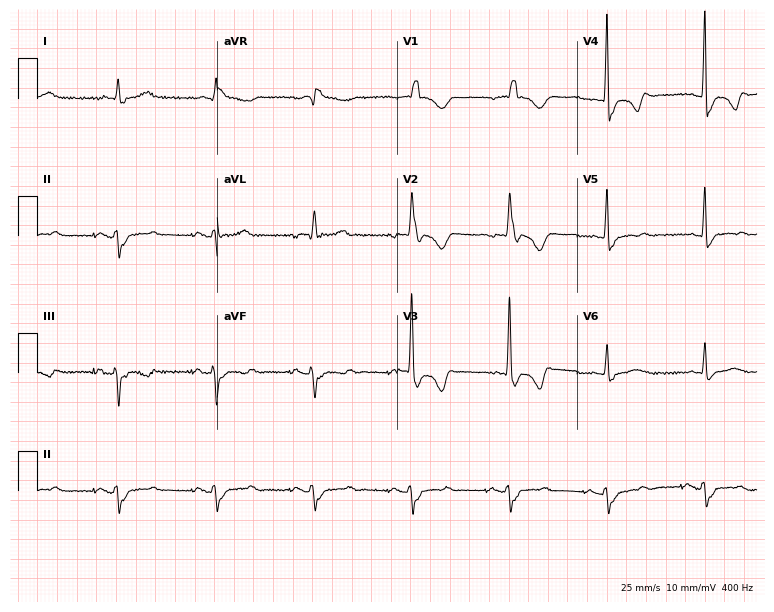
Electrocardiogram, a 57-year-old male. Of the six screened findings (first-degree AV block, right bundle branch block, left bundle branch block, sinus bradycardia, atrial fibrillation, sinus tachycardia), none is recorded. Other findings, if any, are not listed.